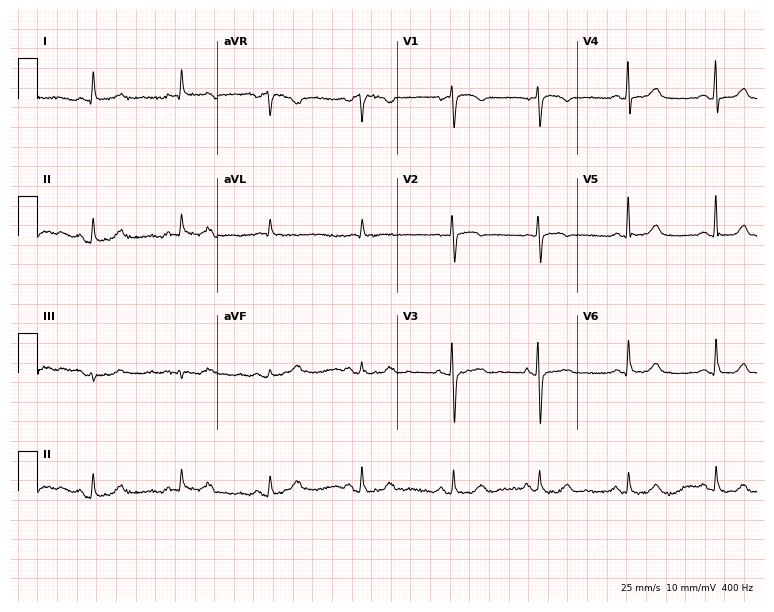
12-lead ECG (7.3-second recording at 400 Hz) from an 85-year-old woman. Screened for six findings — first-degree AV block, right bundle branch block, left bundle branch block, sinus bradycardia, atrial fibrillation, sinus tachycardia — none is recorded. Other findings, if any, are not listed.